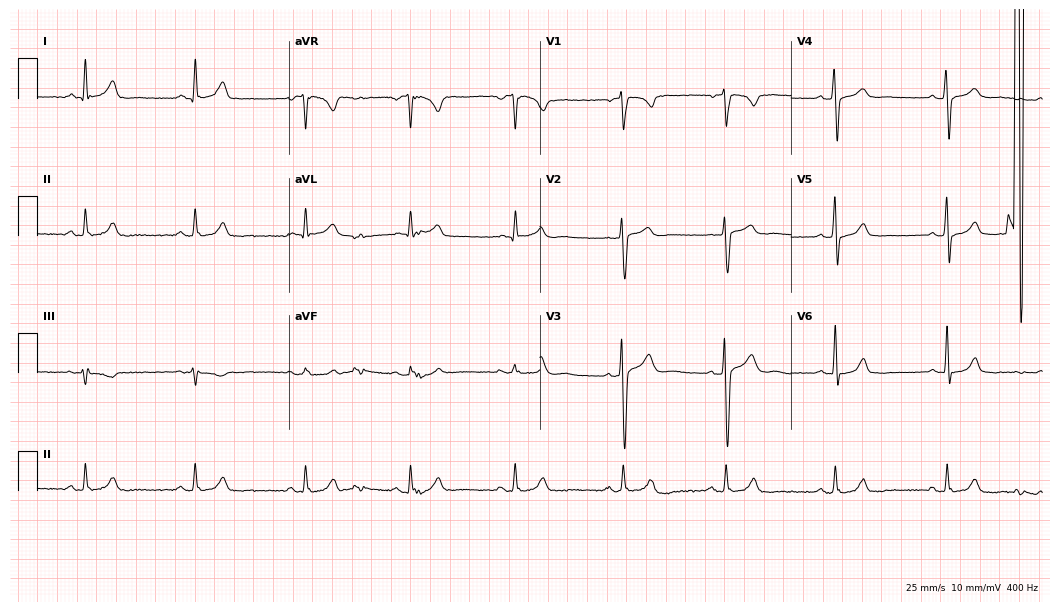
12-lead ECG from a male, 34 years old (10.2-second recording at 400 Hz). Recorded interpretation: within normal limits.